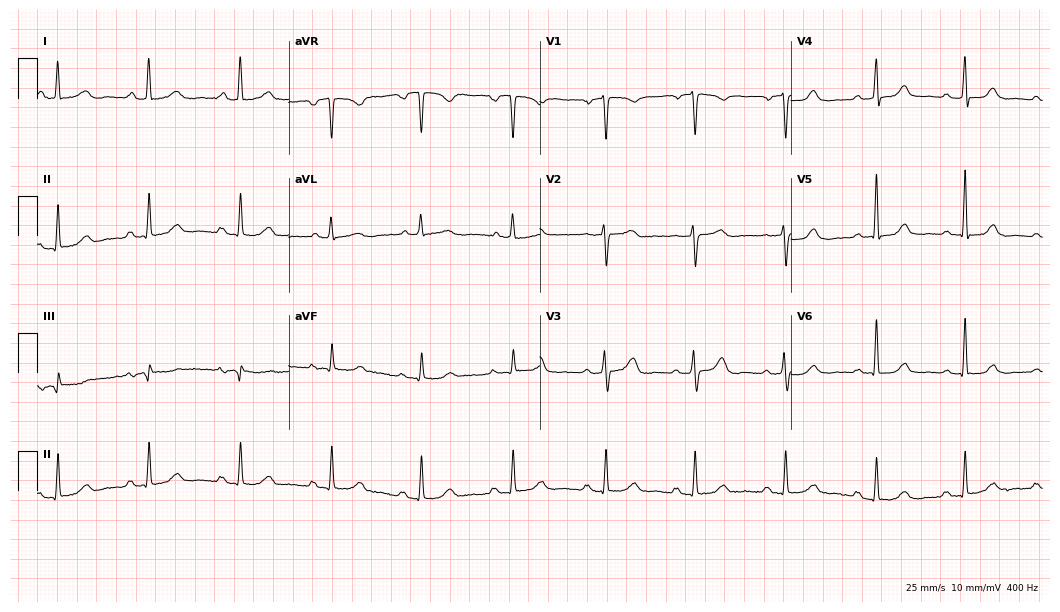
12-lead ECG from a 75-year-old male patient. Labelled as a normal ECG.